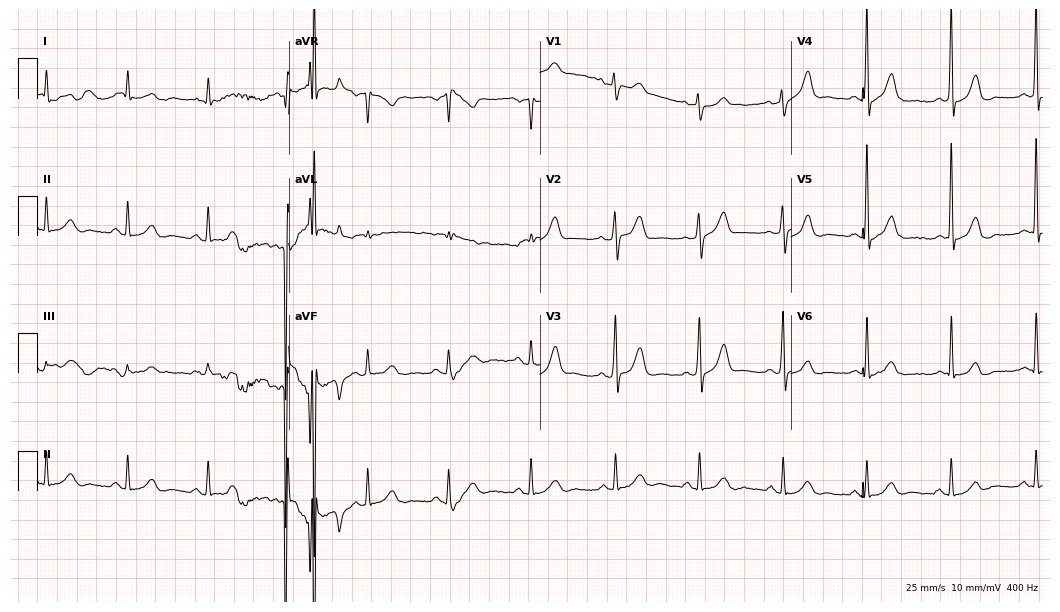
12-lead ECG from a 49-year-old male. Screened for six findings — first-degree AV block, right bundle branch block, left bundle branch block, sinus bradycardia, atrial fibrillation, sinus tachycardia — none is recorded. Only these six findings were labelled.